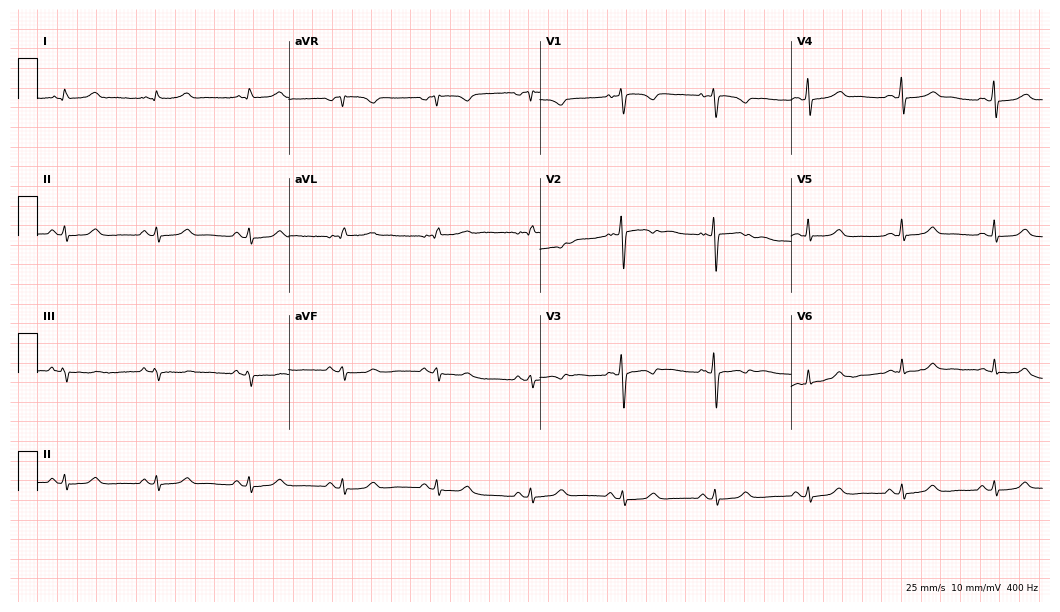
12-lead ECG (10.2-second recording at 400 Hz) from a 37-year-old female. Screened for six findings — first-degree AV block, right bundle branch block, left bundle branch block, sinus bradycardia, atrial fibrillation, sinus tachycardia — none is recorded. Other findings, if any, are not listed.